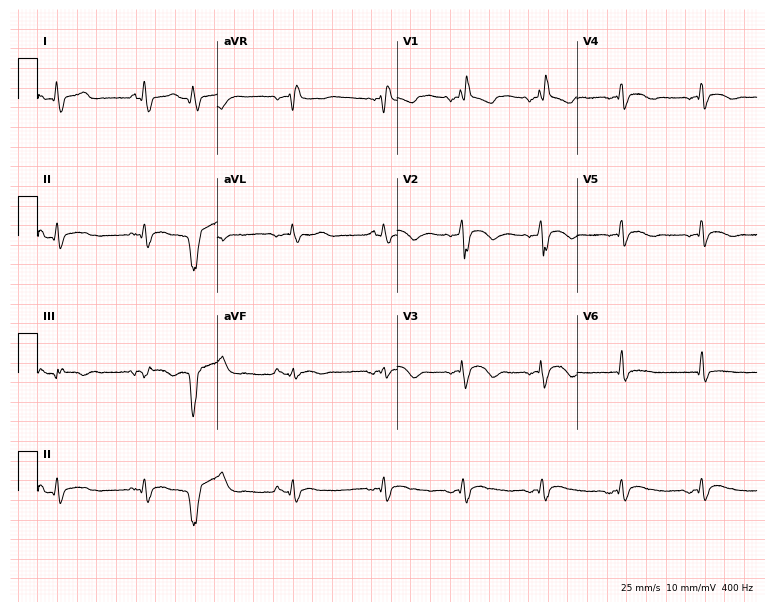
Standard 12-lead ECG recorded from a 70-year-old woman (7.3-second recording at 400 Hz). The tracing shows right bundle branch block.